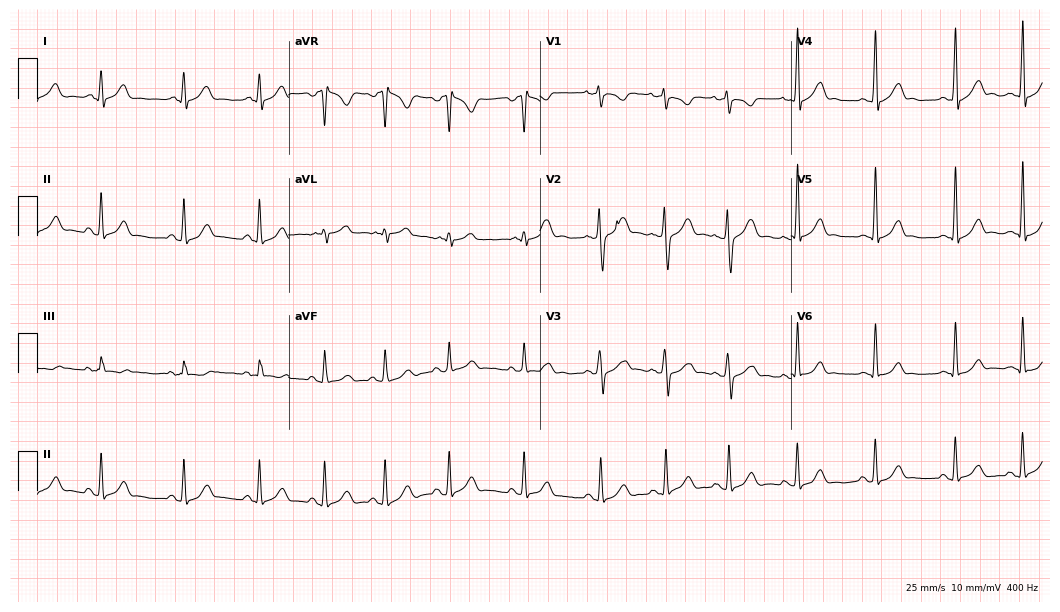
Resting 12-lead electrocardiogram (10.2-second recording at 400 Hz). Patient: a 17-year-old woman. None of these six findings is recorded: first-degree AV block, right bundle branch block, left bundle branch block, sinus bradycardia, atrial fibrillation, sinus tachycardia. Only these six findings were labelled.